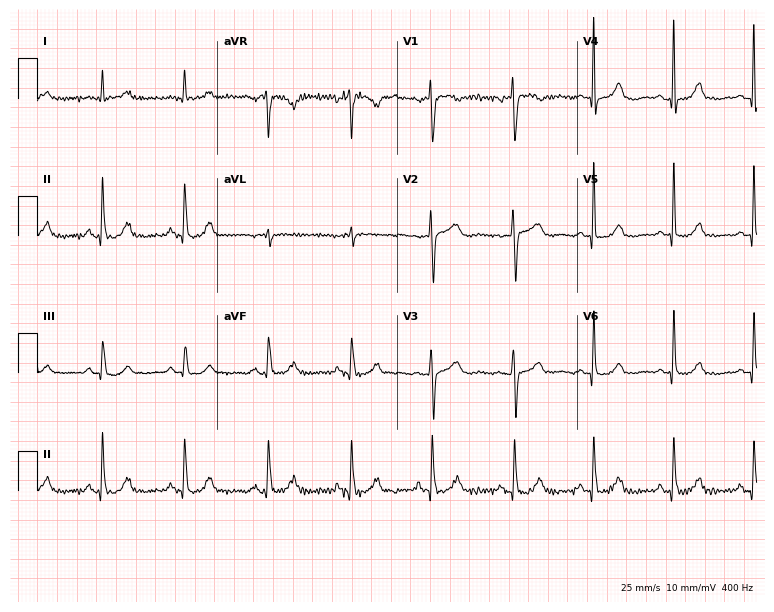
Standard 12-lead ECG recorded from a 60-year-old woman. Read as a normal ECG.